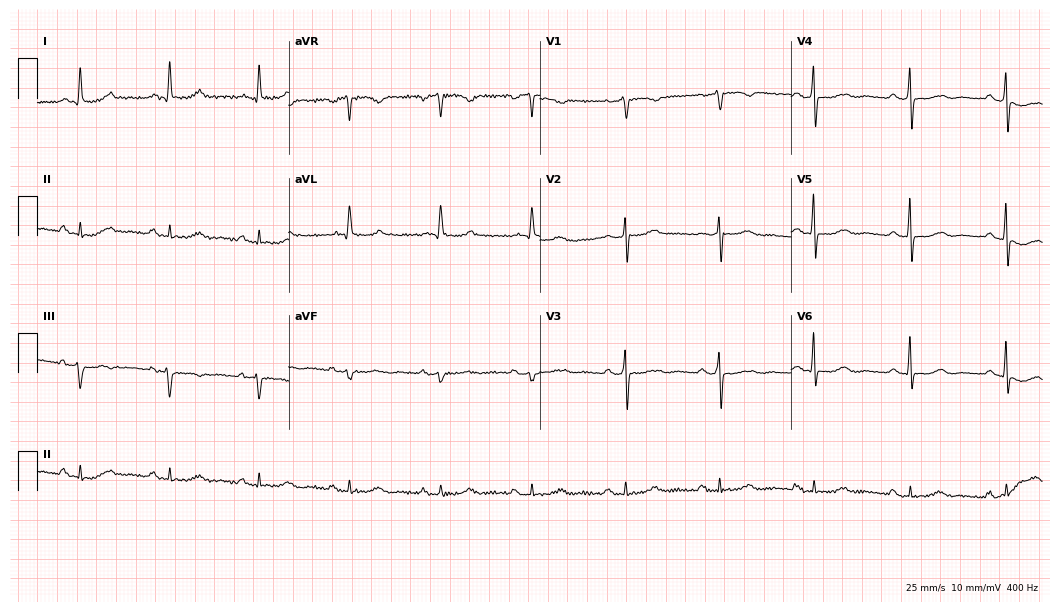
Standard 12-lead ECG recorded from a female patient, 68 years old. Read as a normal ECG.